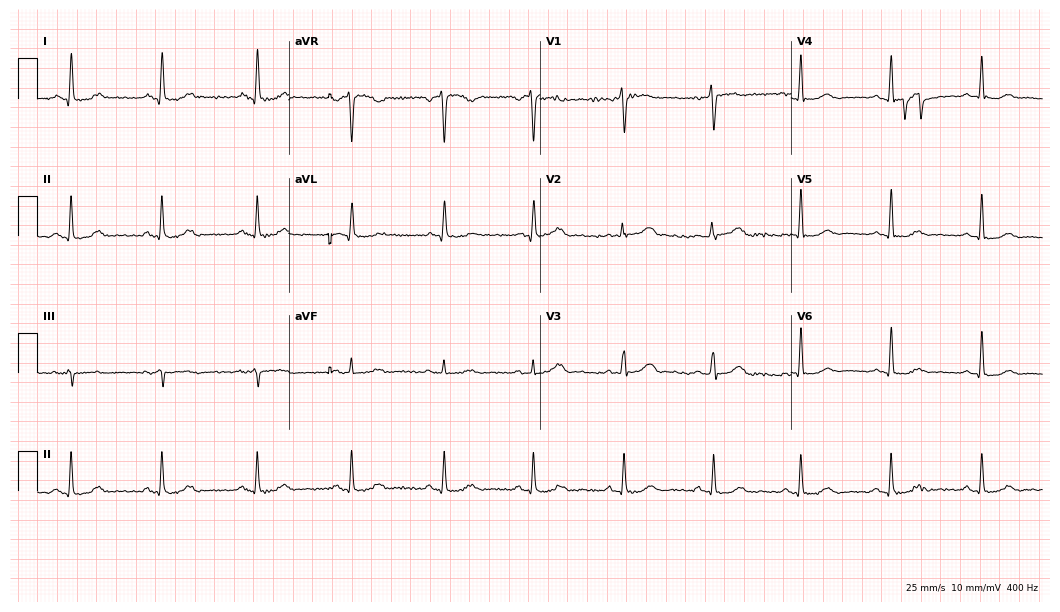
ECG (10.2-second recording at 400 Hz) — a 55-year-old woman. Labelled as a normal ECG.